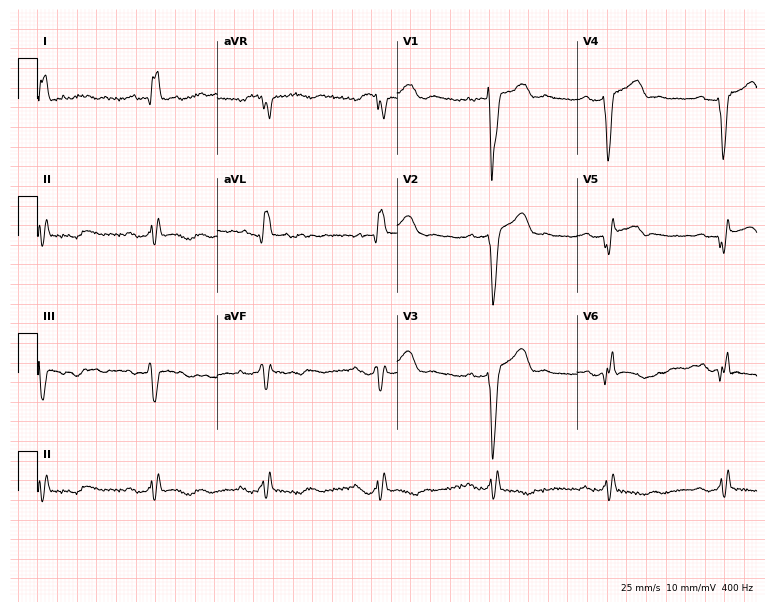
12-lead ECG from a male patient, 68 years old (7.3-second recording at 400 Hz). Shows left bundle branch block (LBBB).